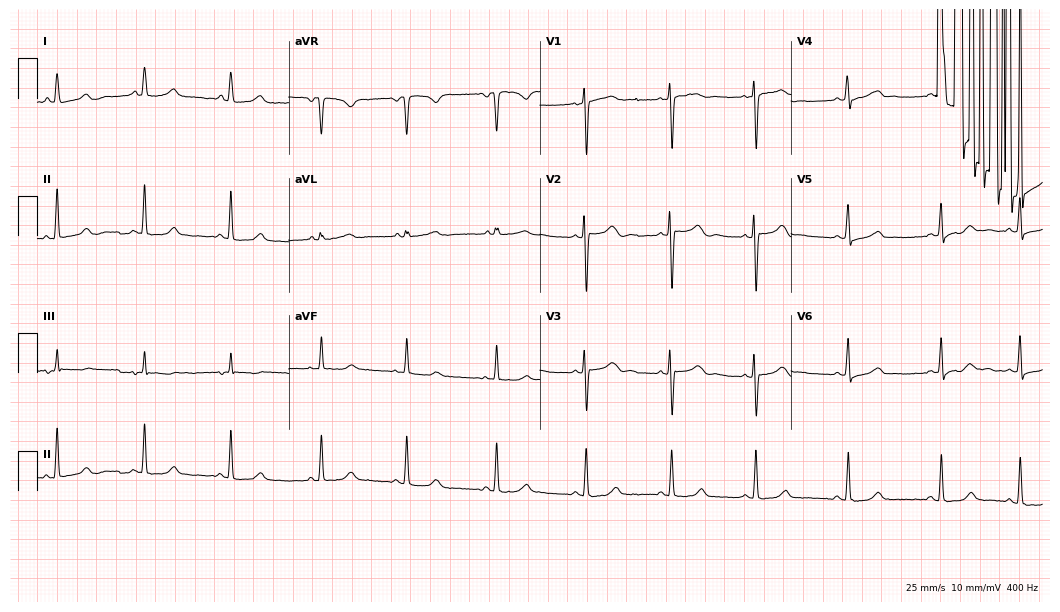
Standard 12-lead ECG recorded from a woman, 21 years old. None of these six findings is recorded: first-degree AV block, right bundle branch block, left bundle branch block, sinus bradycardia, atrial fibrillation, sinus tachycardia.